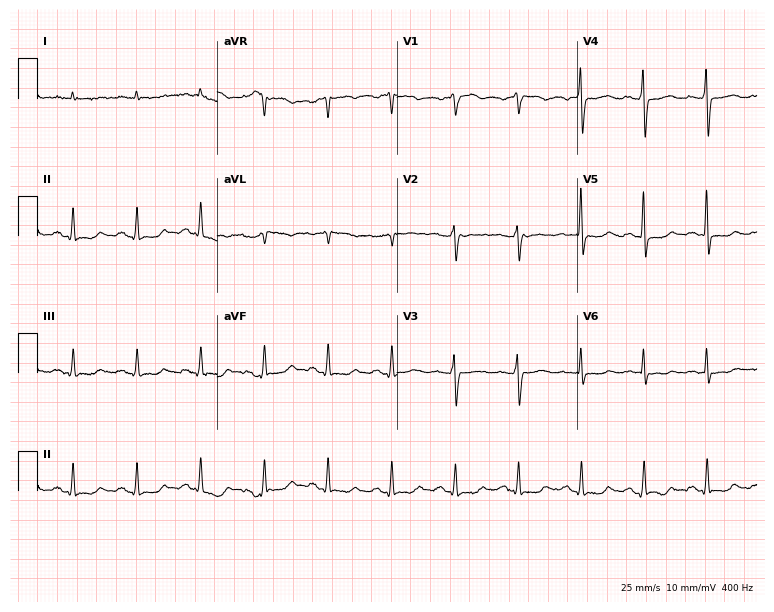
12-lead ECG from a man, 62 years old. No first-degree AV block, right bundle branch block, left bundle branch block, sinus bradycardia, atrial fibrillation or sinus tachycardia recorded for this tracing. Only these six findings were labelled.